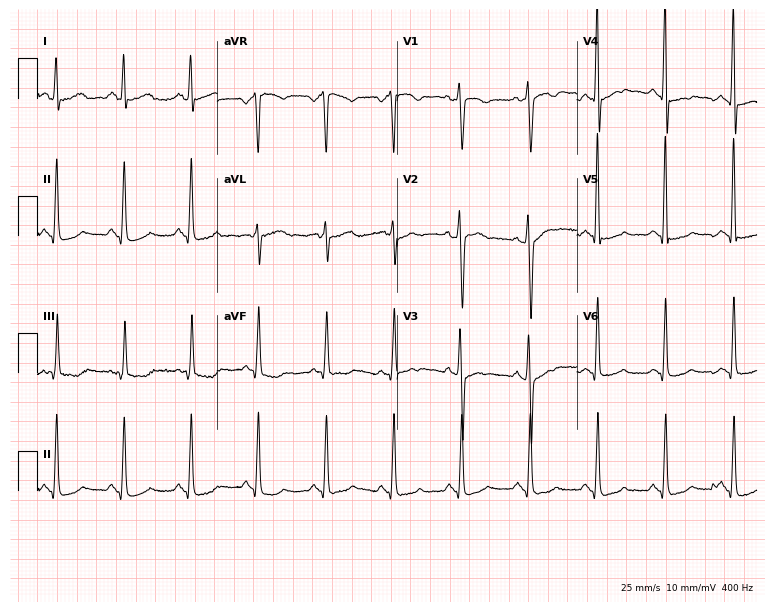
Resting 12-lead electrocardiogram. Patient: a 52-year-old female. None of these six findings is recorded: first-degree AV block, right bundle branch block, left bundle branch block, sinus bradycardia, atrial fibrillation, sinus tachycardia. Only these six findings were labelled.